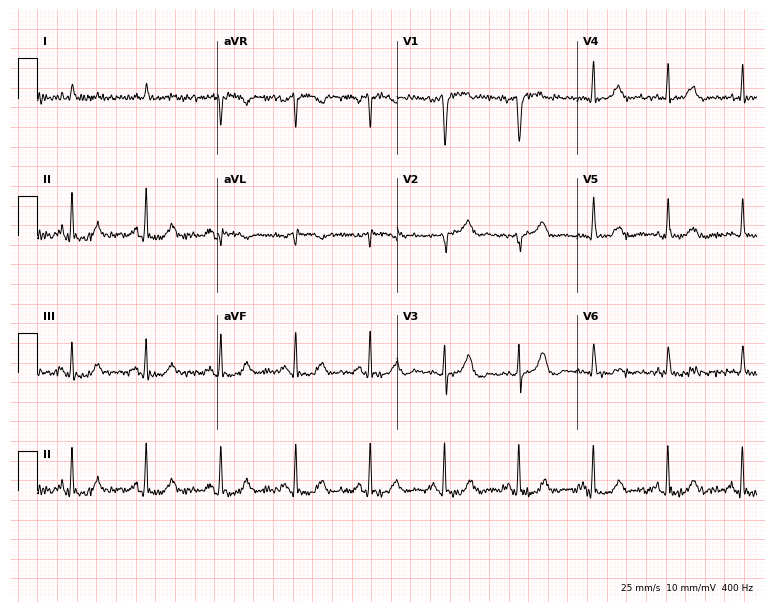
Standard 12-lead ECG recorded from a male patient, 74 years old (7.3-second recording at 400 Hz). Read as a normal ECG.